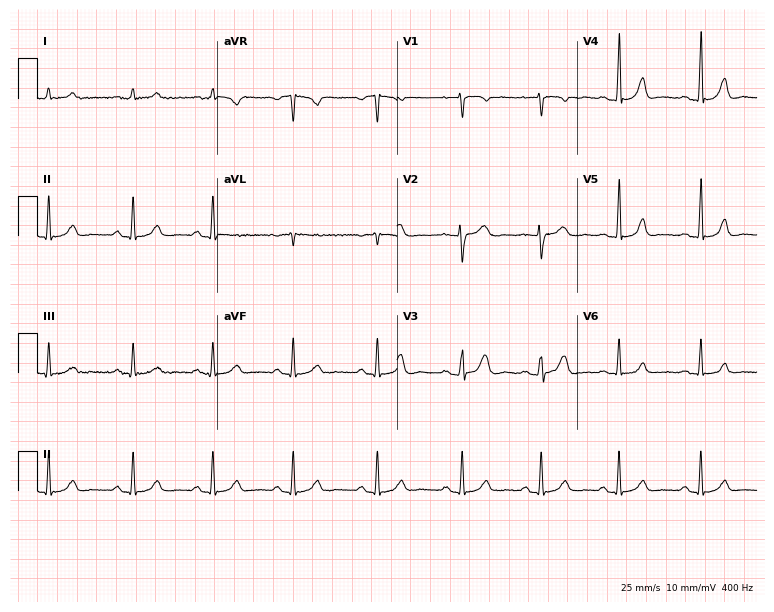
12-lead ECG from a woman, 35 years old (7.3-second recording at 400 Hz). Recorded interpretation: within normal limits.